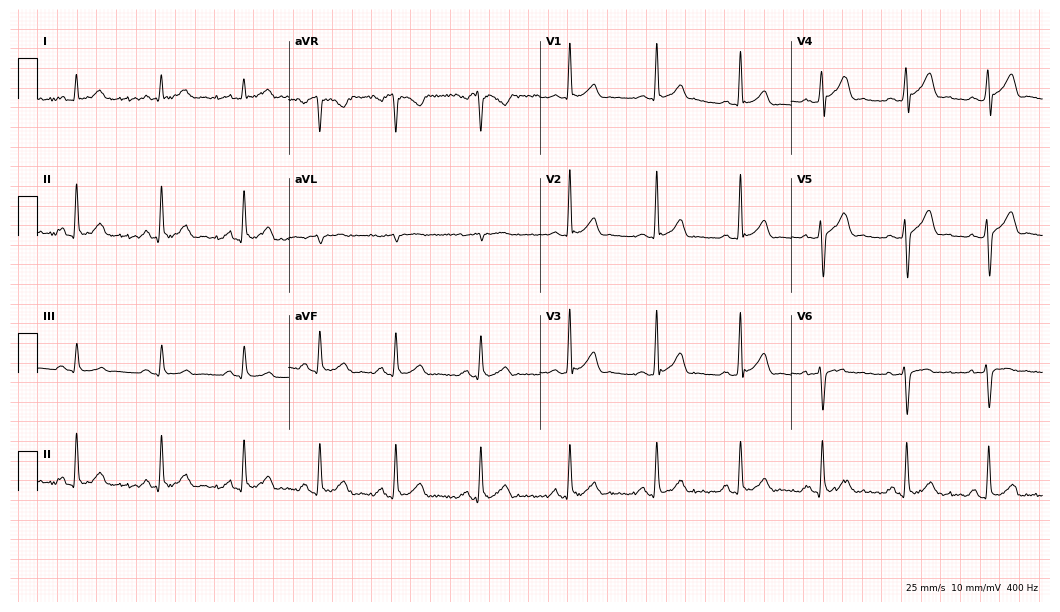
Electrocardiogram (10.2-second recording at 400 Hz), a male, 39 years old. Of the six screened findings (first-degree AV block, right bundle branch block, left bundle branch block, sinus bradycardia, atrial fibrillation, sinus tachycardia), none is recorded.